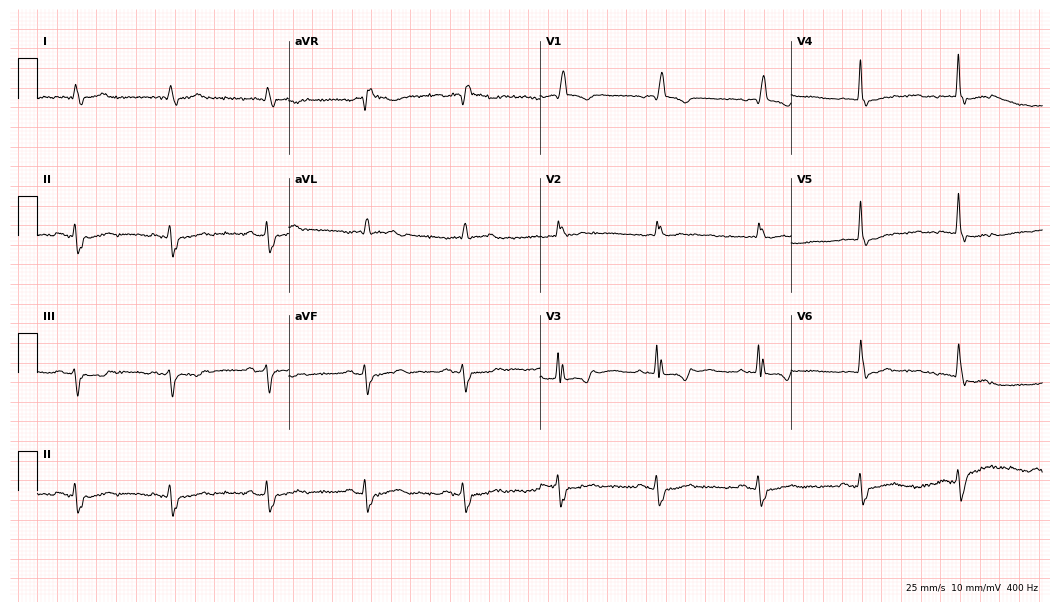
ECG (10.2-second recording at 400 Hz) — an 83-year-old female. Findings include right bundle branch block (RBBB).